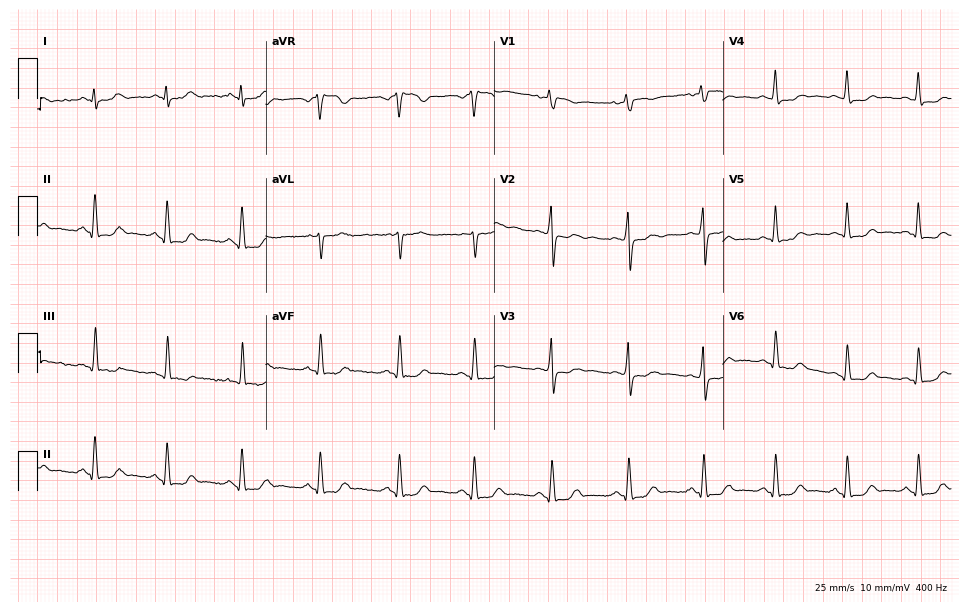
Resting 12-lead electrocardiogram. Patient: a woman, 38 years old. None of these six findings is recorded: first-degree AV block, right bundle branch block (RBBB), left bundle branch block (LBBB), sinus bradycardia, atrial fibrillation (AF), sinus tachycardia.